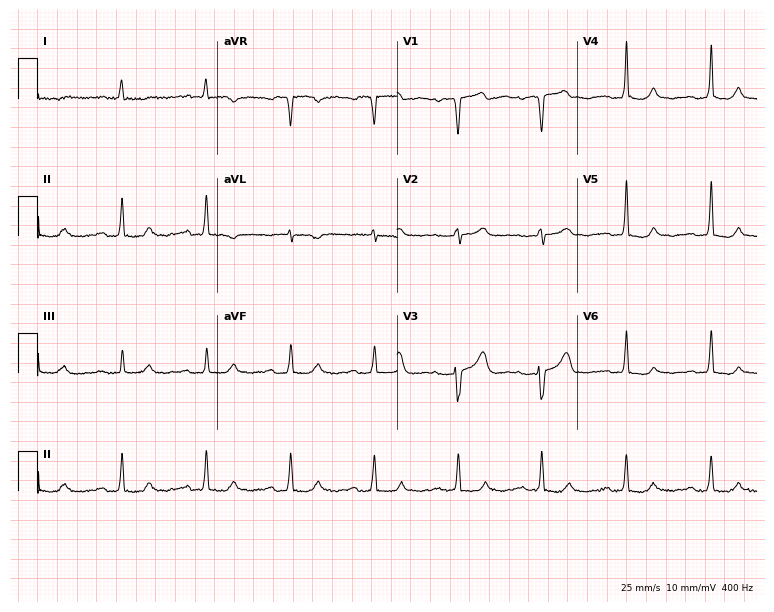
Resting 12-lead electrocardiogram. Patient: a 78-year-old man. Read as a normal ECG.